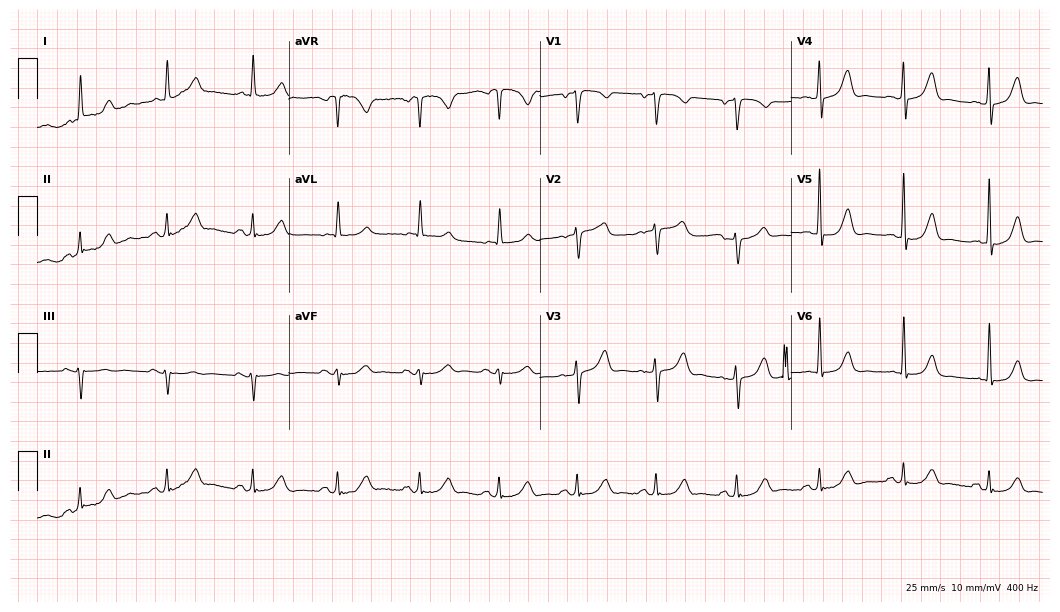
Resting 12-lead electrocardiogram (10.2-second recording at 400 Hz). Patient: a male, 76 years old. Read as a normal ECG.